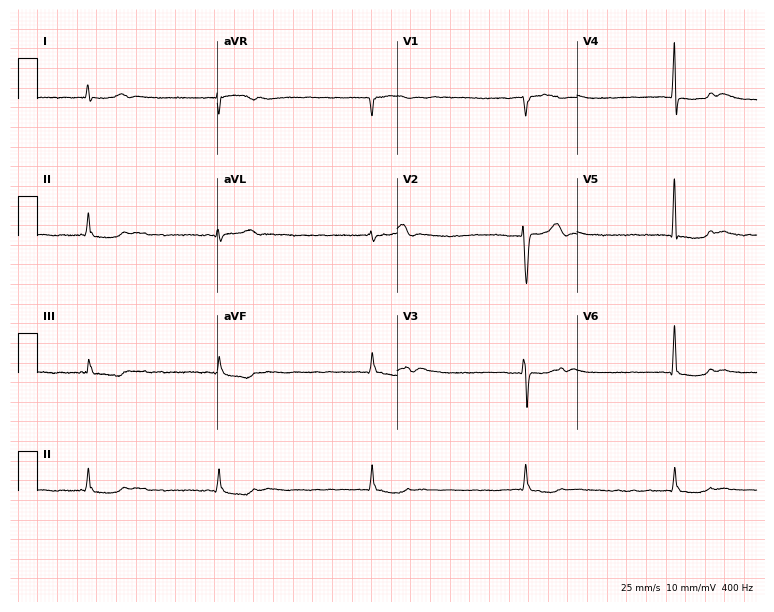
Resting 12-lead electrocardiogram. Patient: a 69-year-old female. The tracing shows atrial fibrillation (AF).